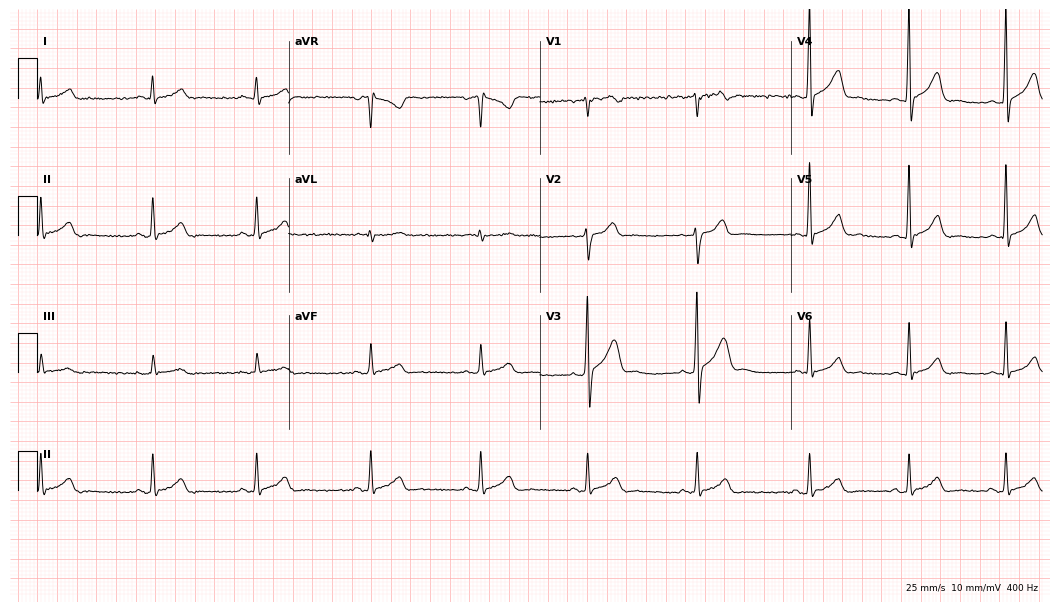
Standard 12-lead ECG recorded from a man, 25 years old. Read as a normal ECG.